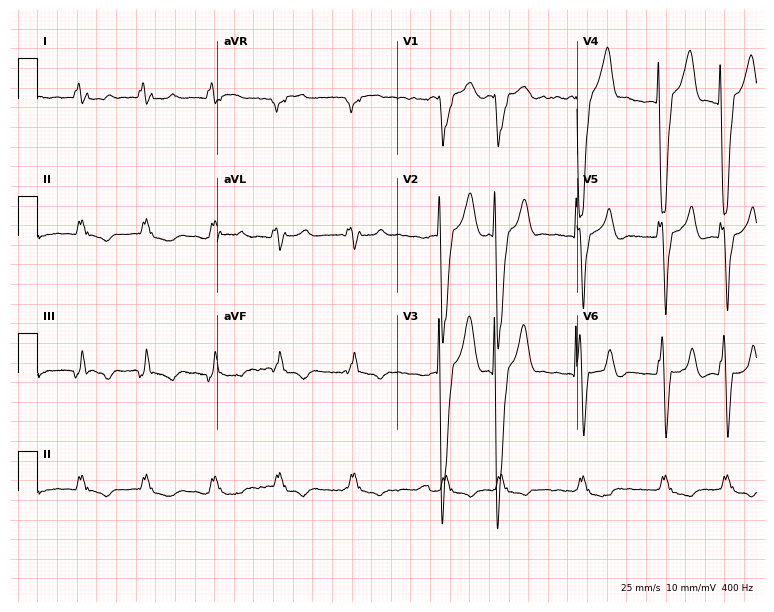
Standard 12-lead ECG recorded from a male, 68 years old. None of these six findings is recorded: first-degree AV block, right bundle branch block (RBBB), left bundle branch block (LBBB), sinus bradycardia, atrial fibrillation (AF), sinus tachycardia.